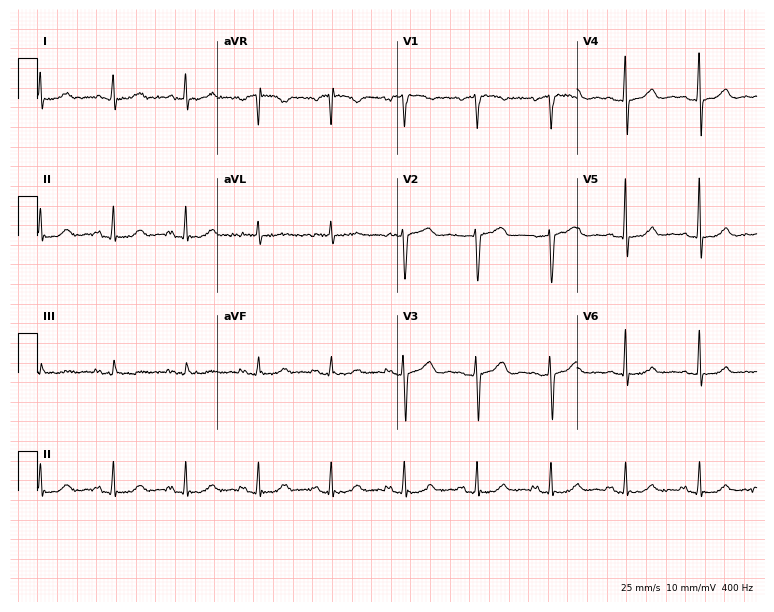
12-lead ECG from a male, 58 years old. Screened for six findings — first-degree AV block, right bundle branch block, left bundle branch block, sinus bradycardia, atrial fibrillation, sinus tachycardia — none is recorded. Other findings, if any, are not listed.